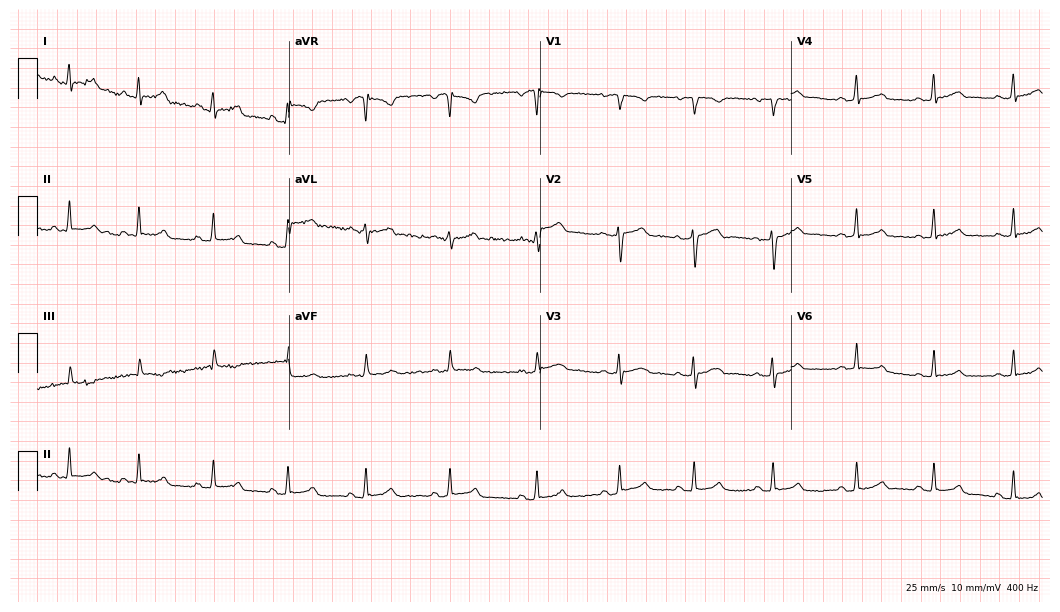
12-lead ECG from a 23-year-old female. Recorded interpretation: within normal limits.